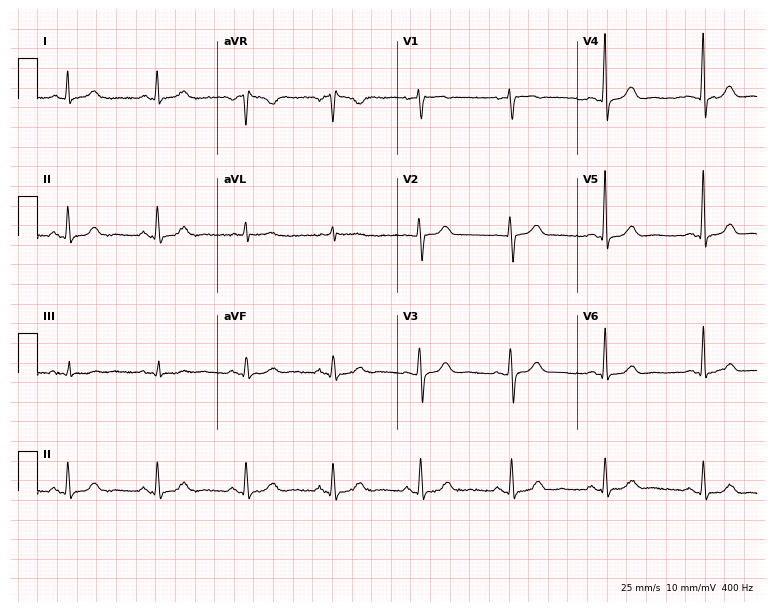
ECG (7.3-second recording at 400 Hz) — a woman, 51 years old. Labelled as a normal ECG.